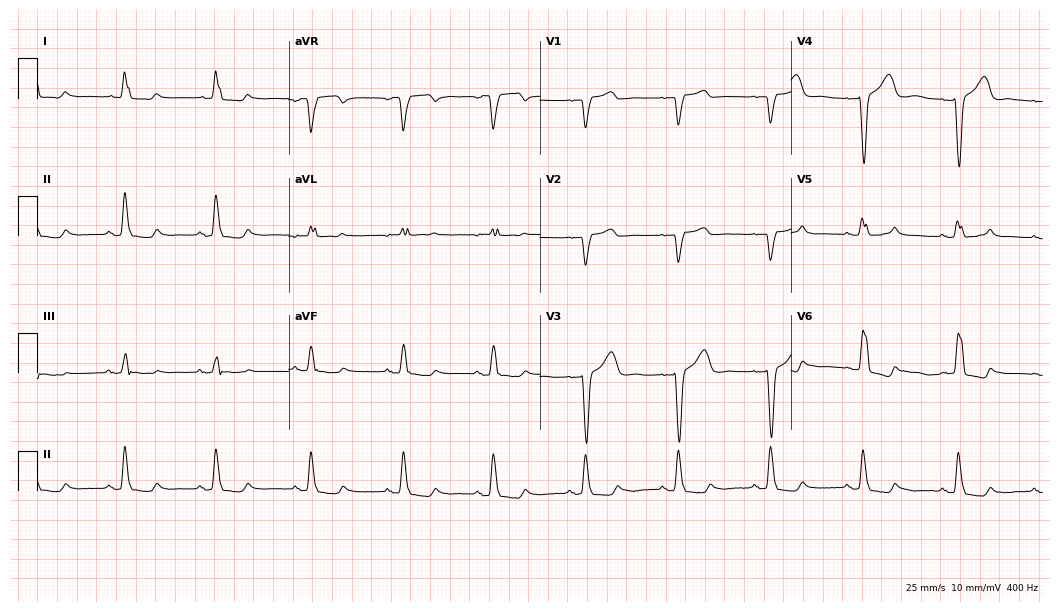
Standard 12-lead ECG recorded from a woman, 77 years old. None of these six findings is recorded: first-degree AV block, right bundle branch block, left bundle branch block, sinus bradycardia, atrial fibrillation, sinus tachycardia. Other findings, if any, are not listed.